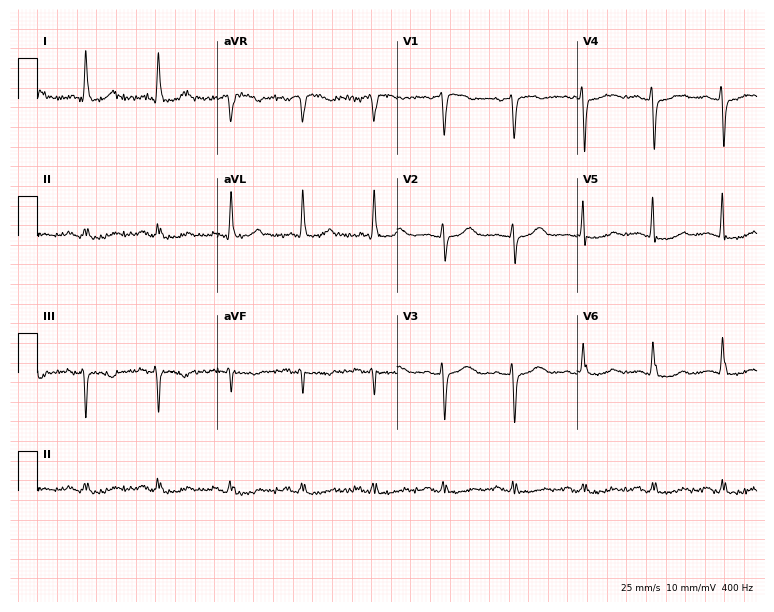
ECG (7.3-second recording at 400 Hz) — a female patient, 76 years old. Screened for six findings — first-degree AV block, right bundle branch block (RBBB), left bundle branch block (LBBB), sinus bradycardia, atrial fibrillation (AF), sinus tachycardia — none is recorded. Only these six findings were labelled.